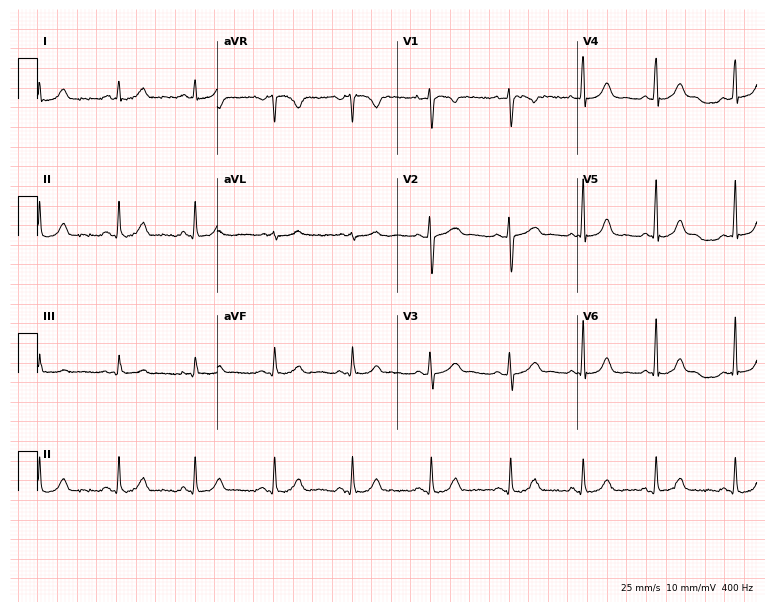
Standard 12-lead ECG recorded from a female, 29 years old (7.3-second recording at 400 Hz). None of these six findings is recorded: first-degree AV block, right bundle branch block, left bundle branch block, sinus bradycardia, atrial fibrillation, sinus tachycardia.